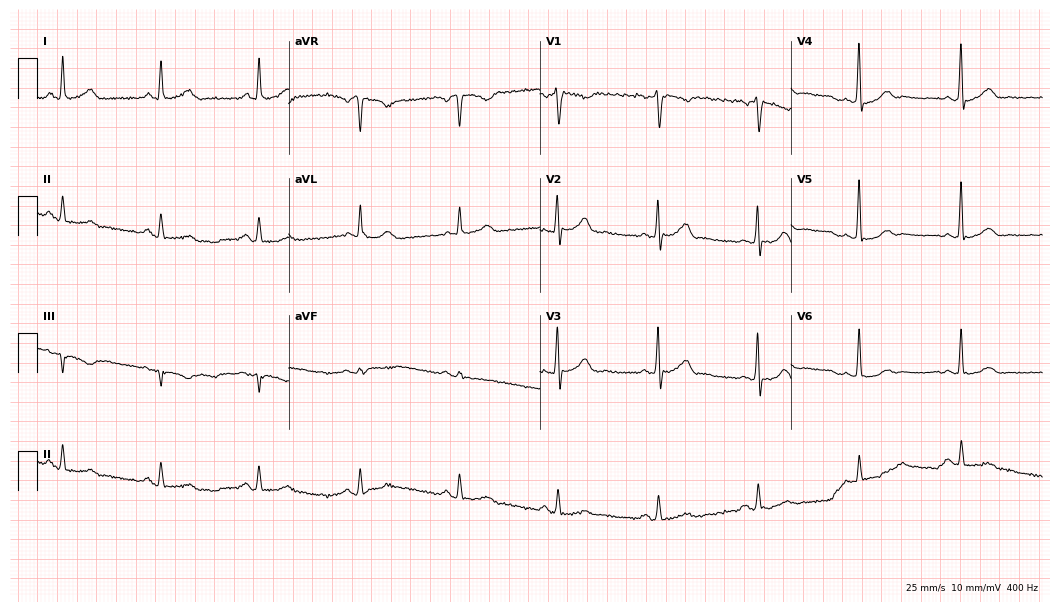
Standard 12-lead ECG recorded from a 57-year-old male patient. Read as a normal ECG.